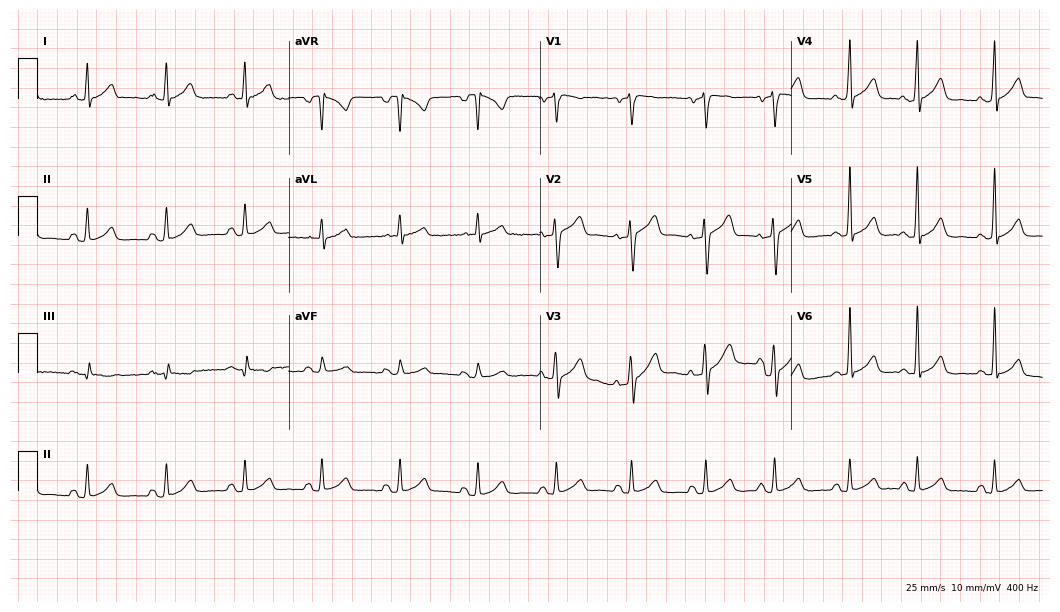
Electrocardiogram, a 38-year-old man. Overall reading on record: normal ECG.